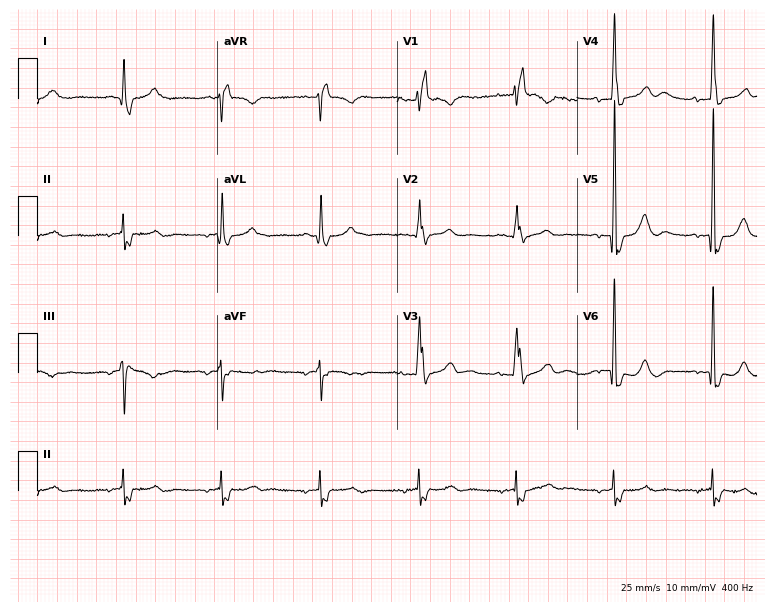
Electrocardiogram, a male, 75 years old. Interpretation includes right bundle branch block.